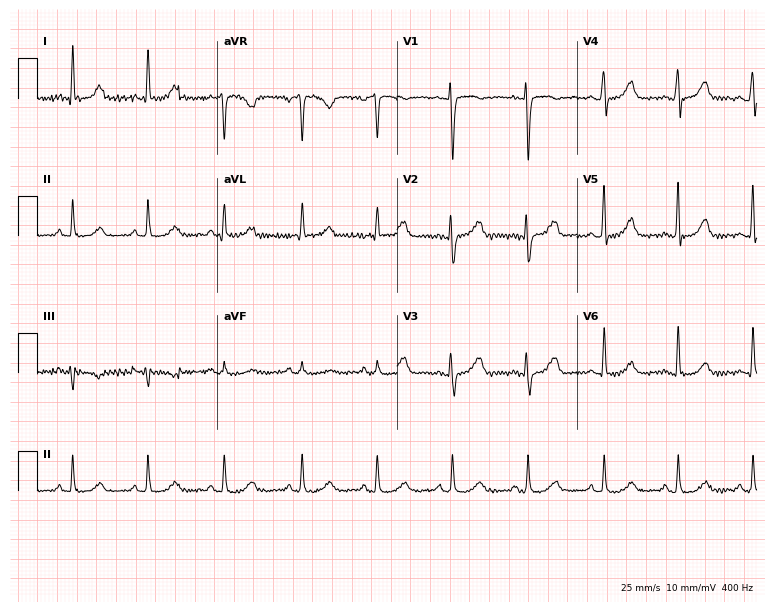
12-lead ECG from a woman, 56 years old. Labelled as a normal ECG.